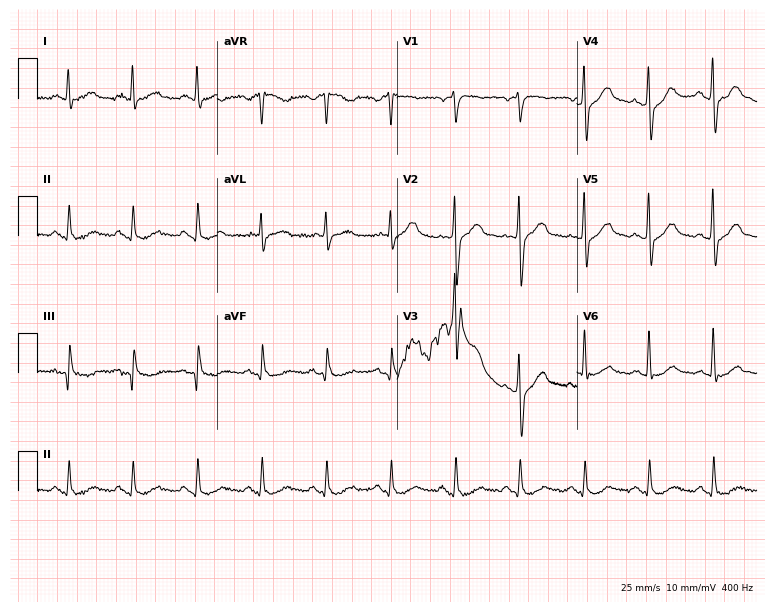
Electrocardiogram (7.3-second recording at 400 Hz), a man, 62 years old. Overall reading on record: normal ECG.